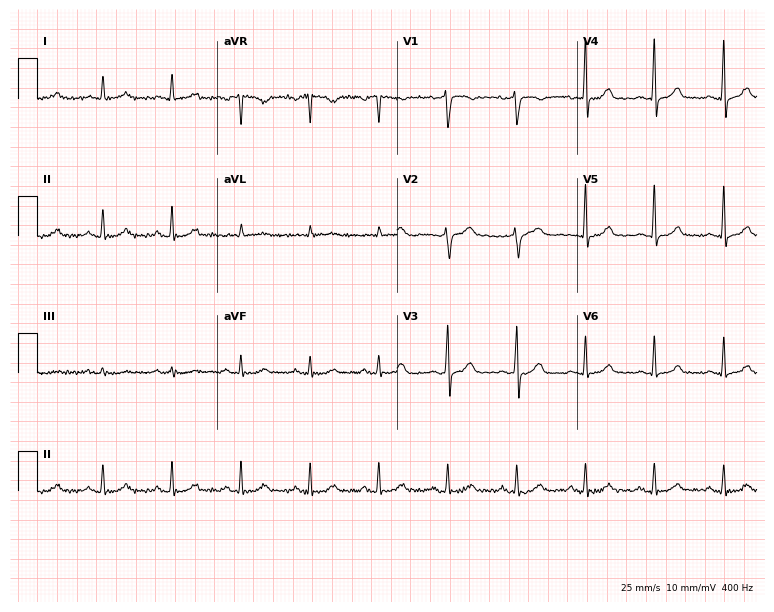
ECG — a female, 58 years old. Labelled as a normal ECG.